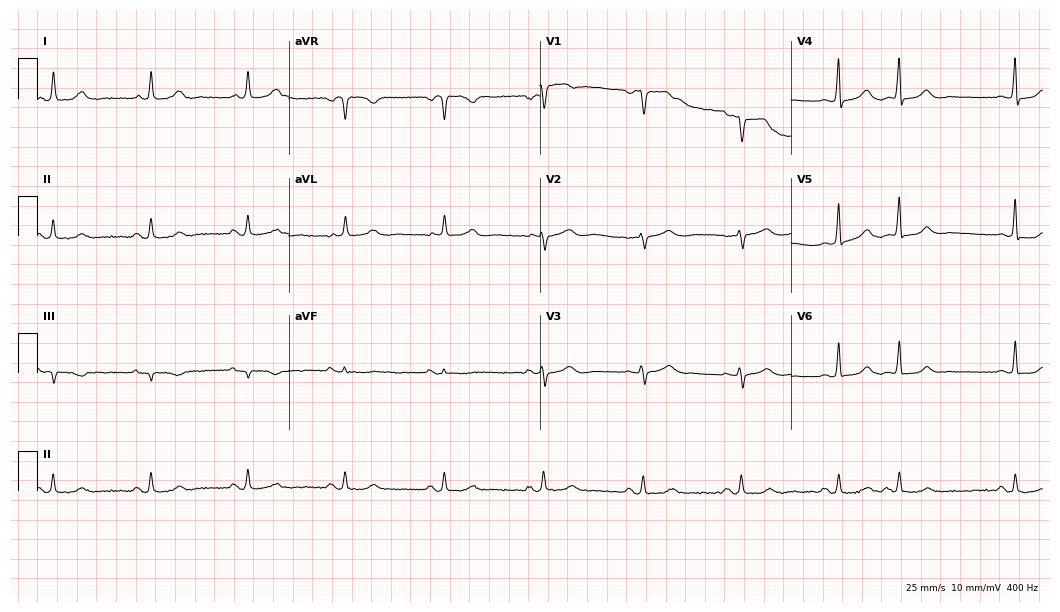
Electrocardiogram (10.2-second recording at 400 Hz), a 73-year-old woman. Overall reading on record: normal ECG.